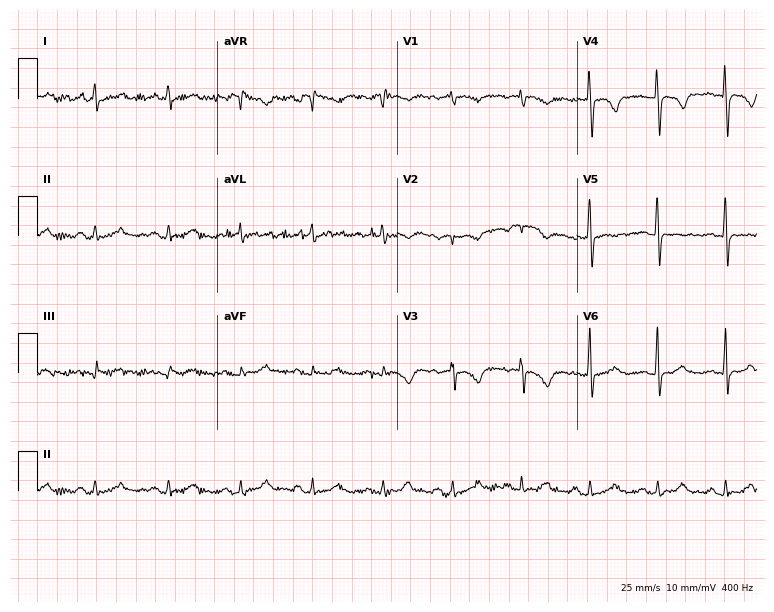
ECG — a female, 63 years old. Screened for six findings — first-degree AV block, right bundle branch block, left bundle branch block, sinus bradycardia, atrial fibrillation, sinus tachycardia — none is recorded.